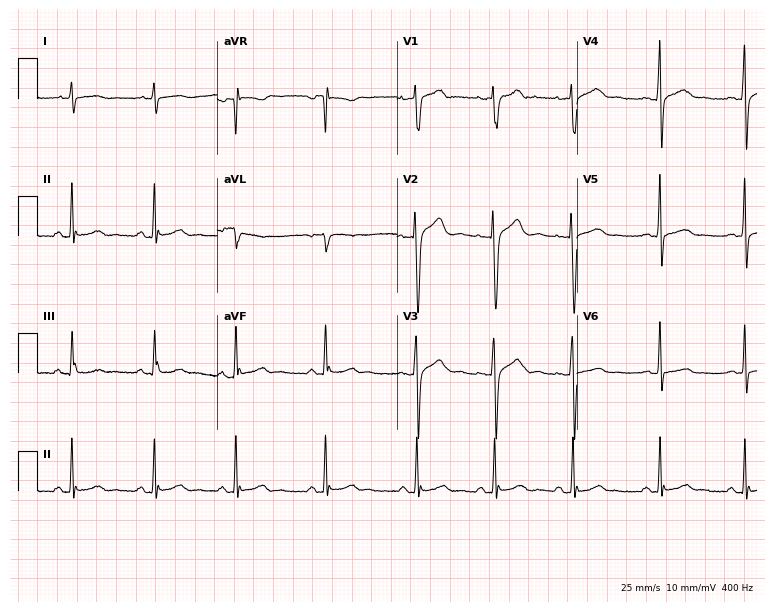
Standard 12-lead ECG recorded from a male patient, 20 years old (7.3-second recording at 400 Hz). Read as a normal ECG.